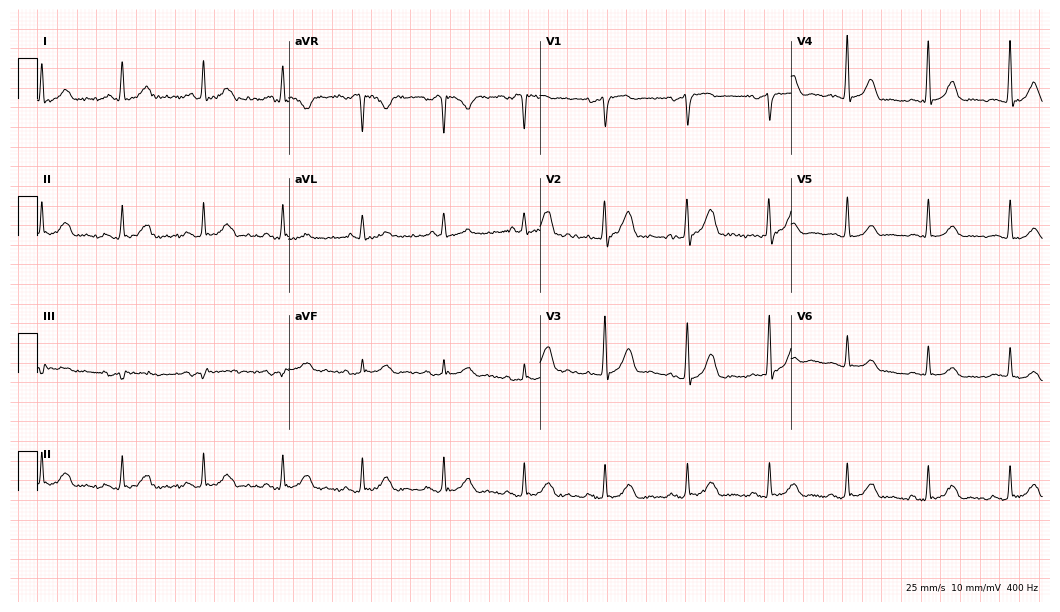
Electrocardiogram, a male, 56 years old. Overall reading on record: normal ECG.